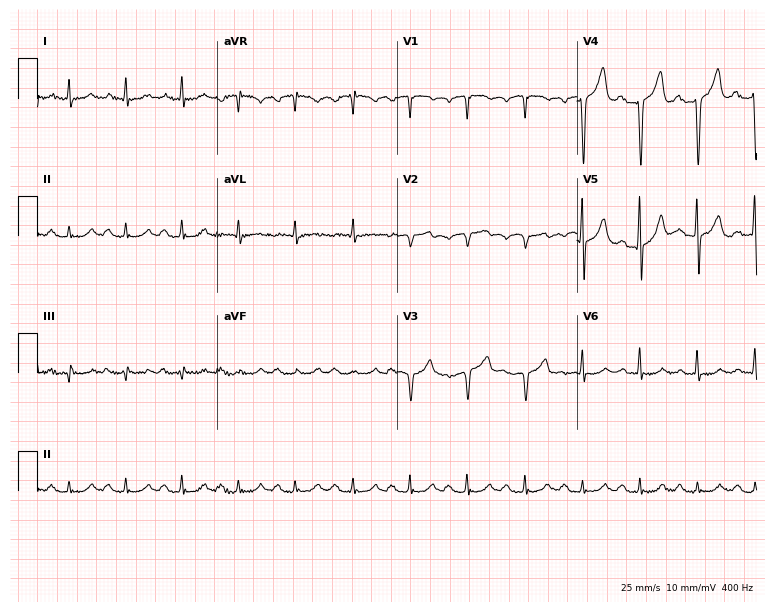
ECG — a 62-year-old man. Findings include sinus tachycardia (a sinus rate of 100 beats per minute or more).